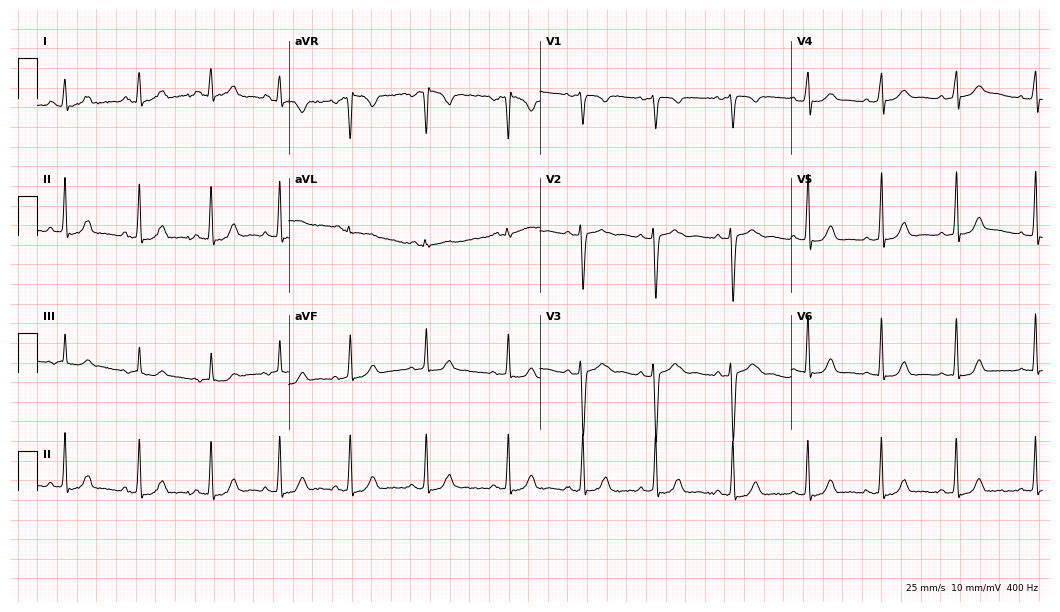
Resting 12-lead electrocardiogram. Patient: a female, 23 years old. Read as a normal ECG.